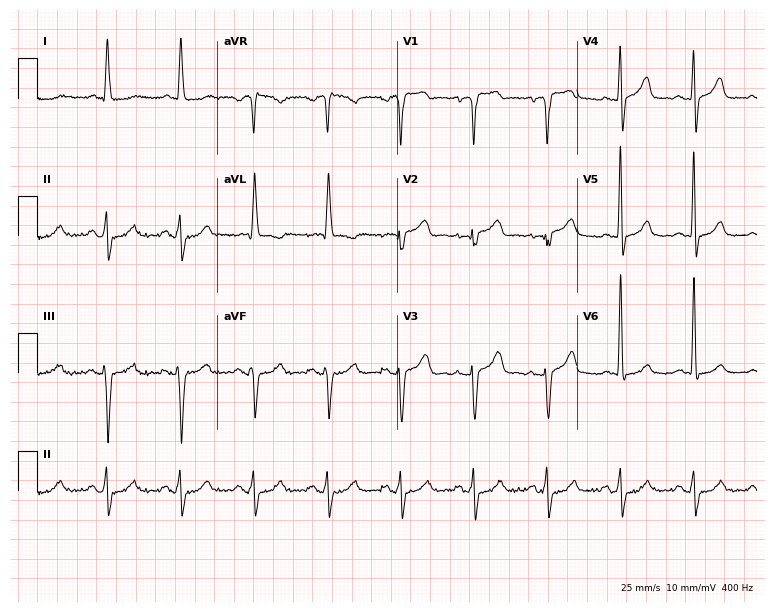
12-lead ECG from a female patient, 80 years old (7.3-second recording at 400 Hz). No first-degree AV block, right bundle branch block, left bundle branch block, sinus bradycardia, atrial fibrillation or sinus tachycardia recorded for this tracing.